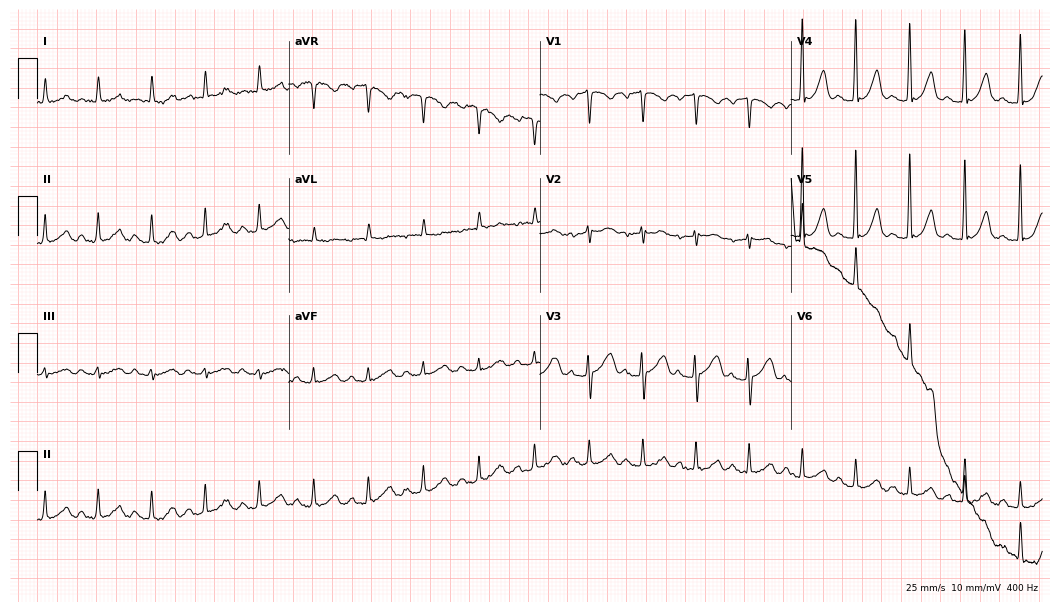
ECG (10.2-second recording at 400 Hz) — a 52-year-old woman. Findings include sinus tachycardia (a sinus rate of 100 beats per minute or more).